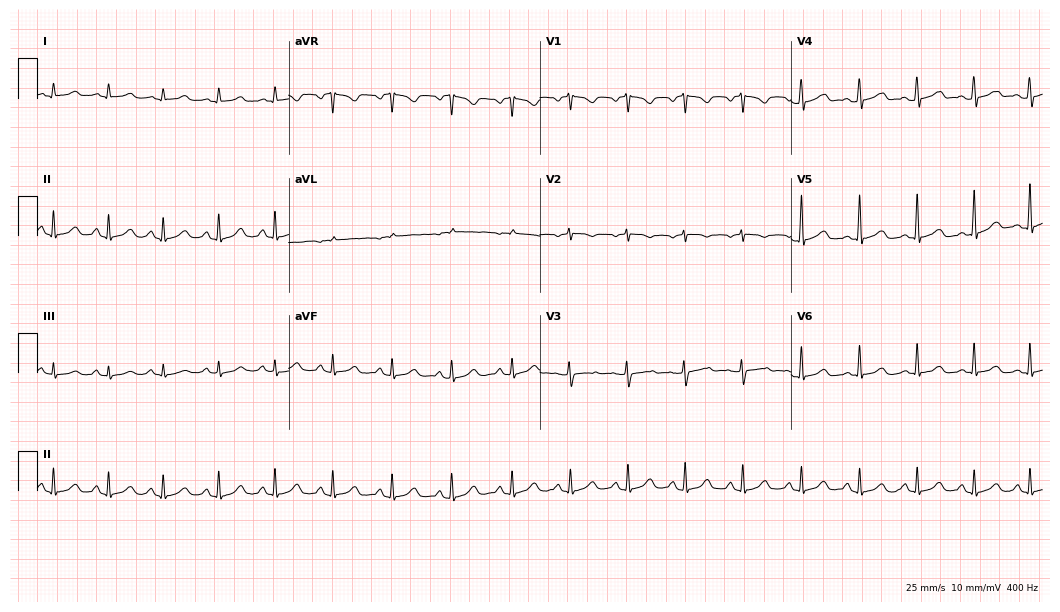
12-lead ECG from a 50-year-old woman. Shows sinus tachycardia (a sinus rate of 100 beats per minute or more).